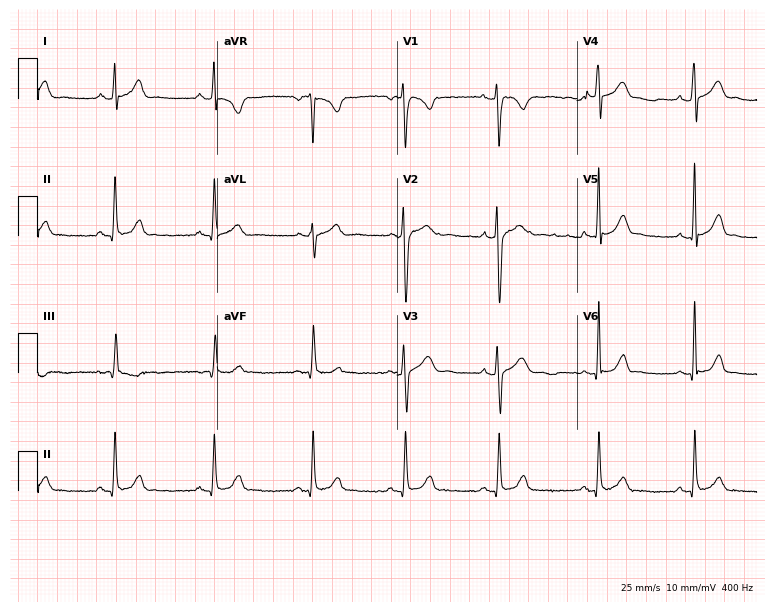
Resting 12-lead electrocardiogram (7.3-second recording at 400 Hz). Patient: a 22-year-old man. Read as a normal ECG.